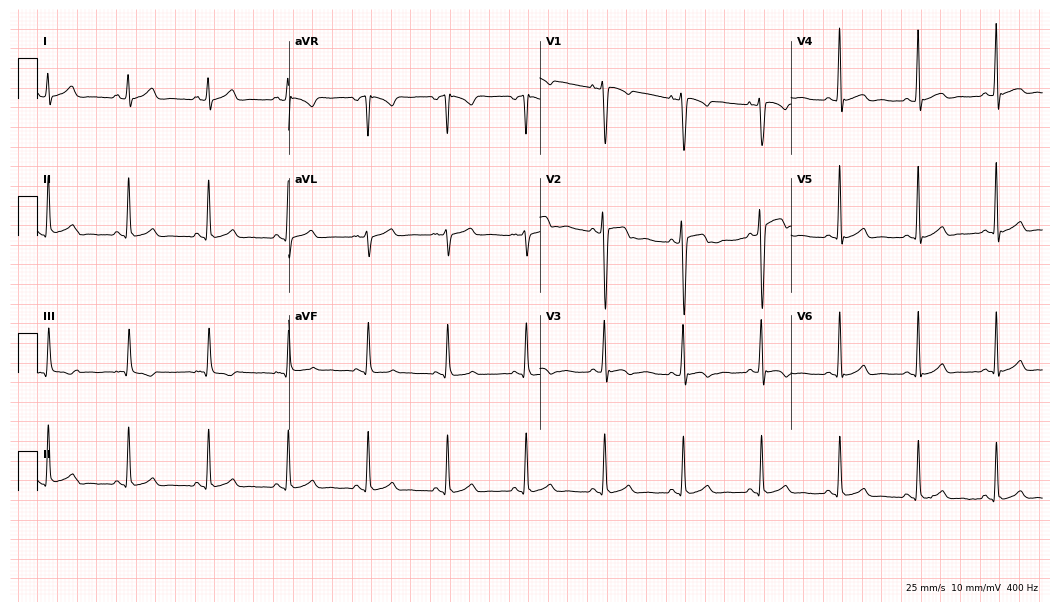
12-lead ECG (10.2-second recording at 400 Hz) from a 21-year-old male. Labelled as a normal ECG.